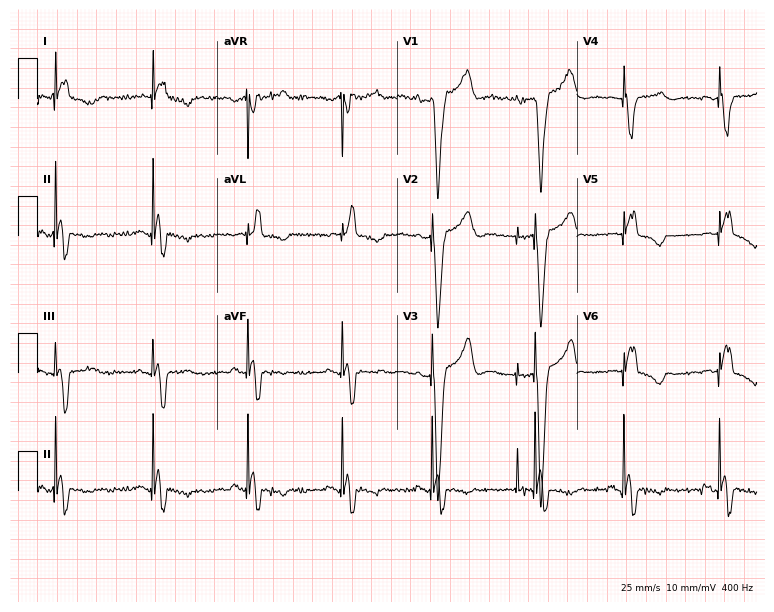
Resting 12-lead electrocardiogram. Patient: a male, 87 years old. None of these six findings is recorded: first-degree AV block, right bundle branch block (RBBB), left bundle branch block (LBBB), sinus bradycardia, atrial fibrillation (AF), sinus tachycardia.